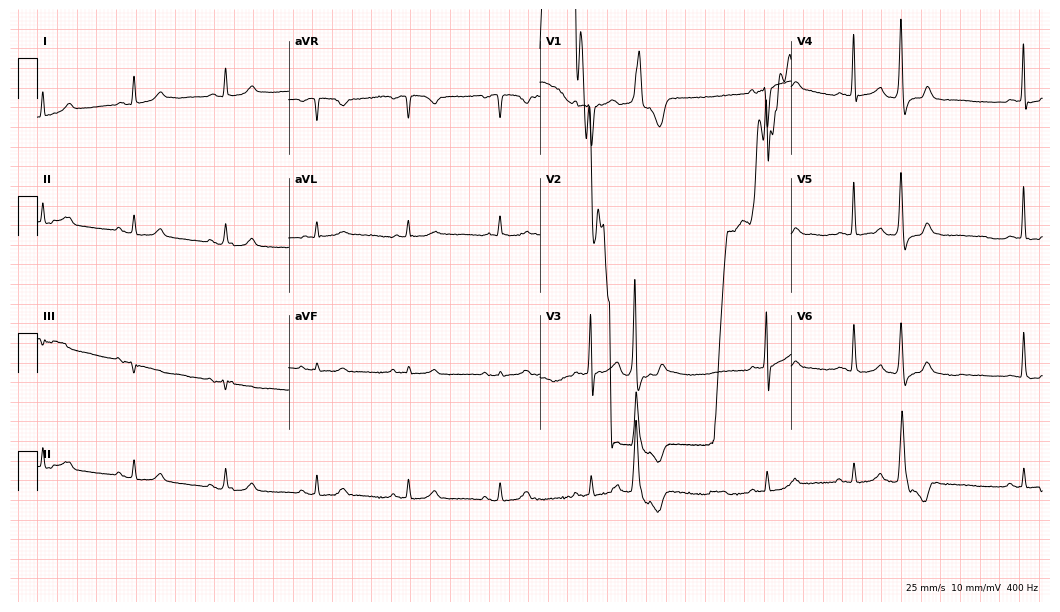
12-lead ECG from a 62-year-old man. Screened for six findings — first-degree AV block, right bundle branch block (RBBB), left bundle branch block (LBBB), sinus bradycardia, atrial fibrillation (AF), sinus tachycardia — none is recorded. Other findings, if any, are not listed.